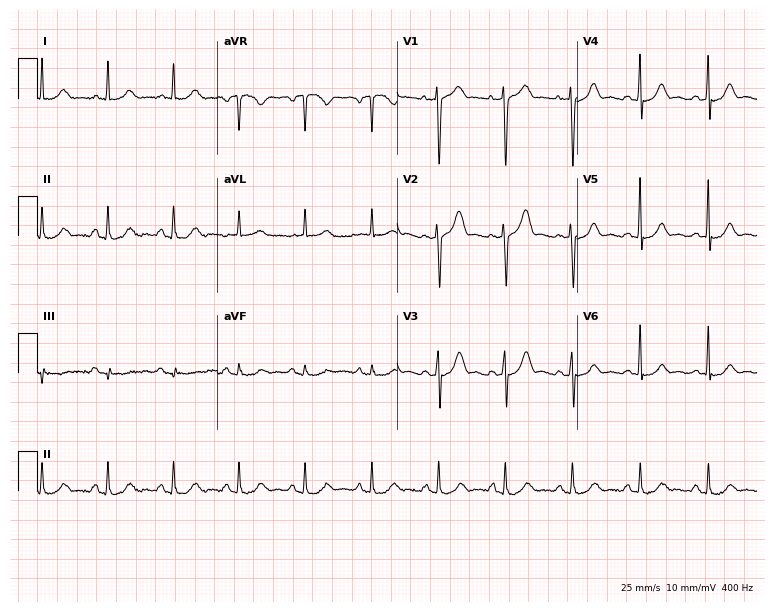
Electrocardiogram, a 59-year-old female patient. Overall reading on record: normal ECG.